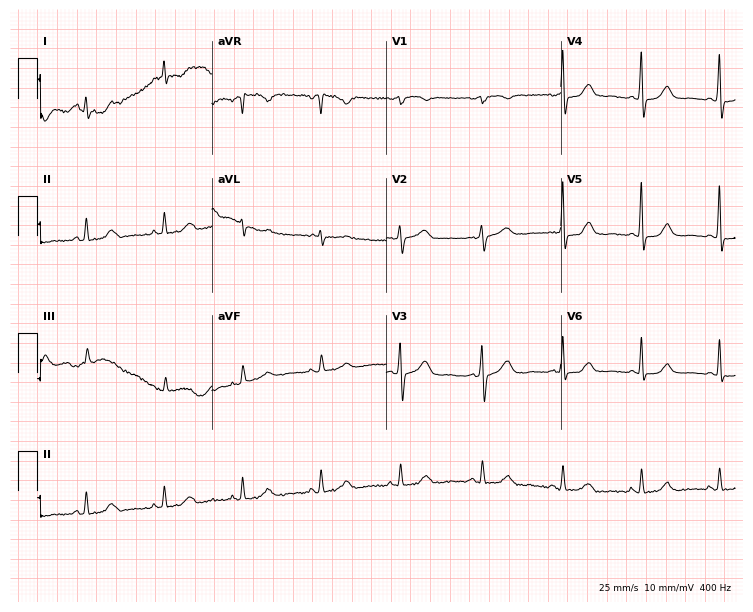
Electrocardiogram, a 58-year-old female patient. Of the six screened findings (first-degree AV block, right bundle branch block, left bundle branch block, sinus bradycardia, atrial fibrillation, sinus tachycardia), none is recorded. Other findings, if any, are not listed.